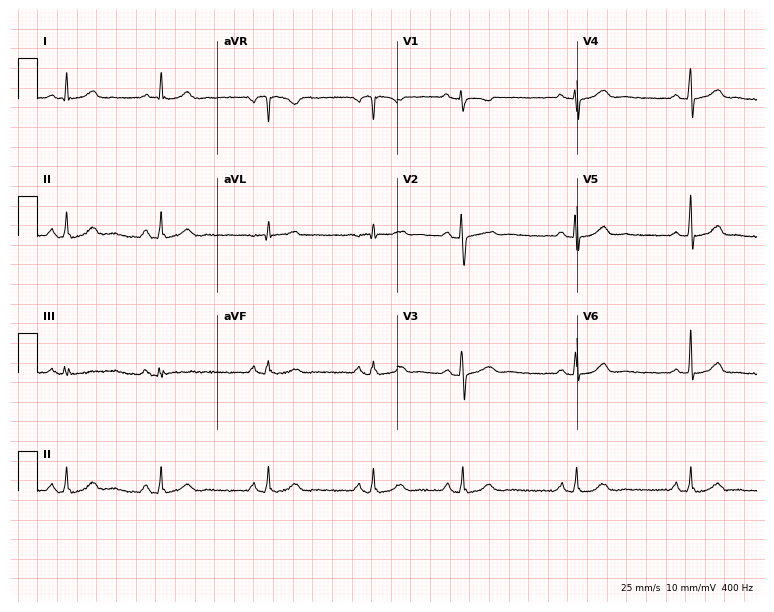
Electrocardiogram (7.3-second recording at 400 Hz), a female, 40 years old. Overall reading on record: normal ECG.